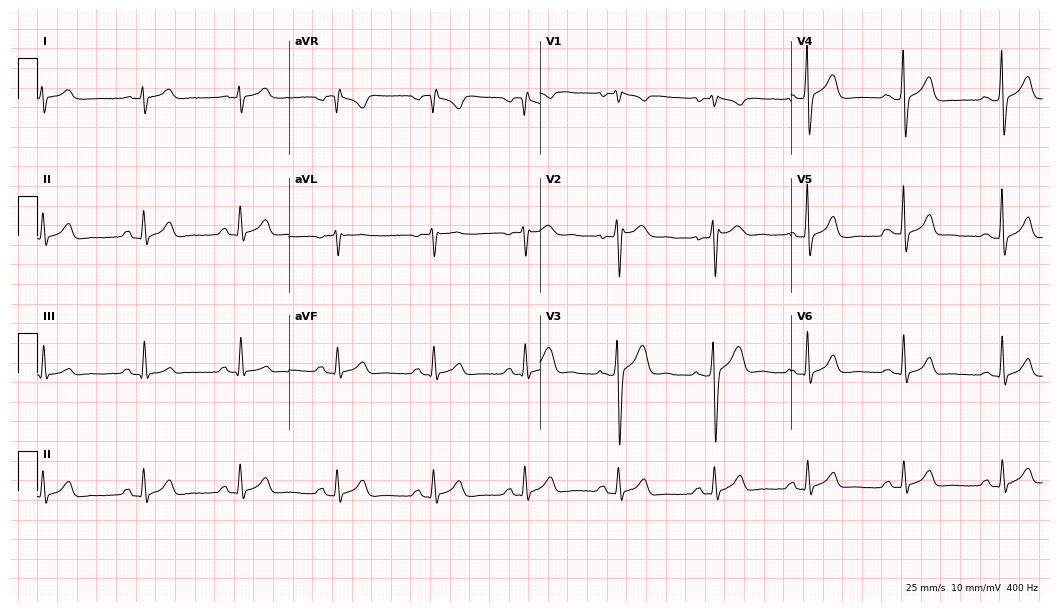
12-lead ECG from a man, 30 years old (10.2-second recording at 400 Hz). No first-degree AV block, right bundle branch block (RBBB), left bundle branch block (LBBB), sinus bradycardia, atrial fibrillation (AF) or sinus tachycardia recorded for this tracing.